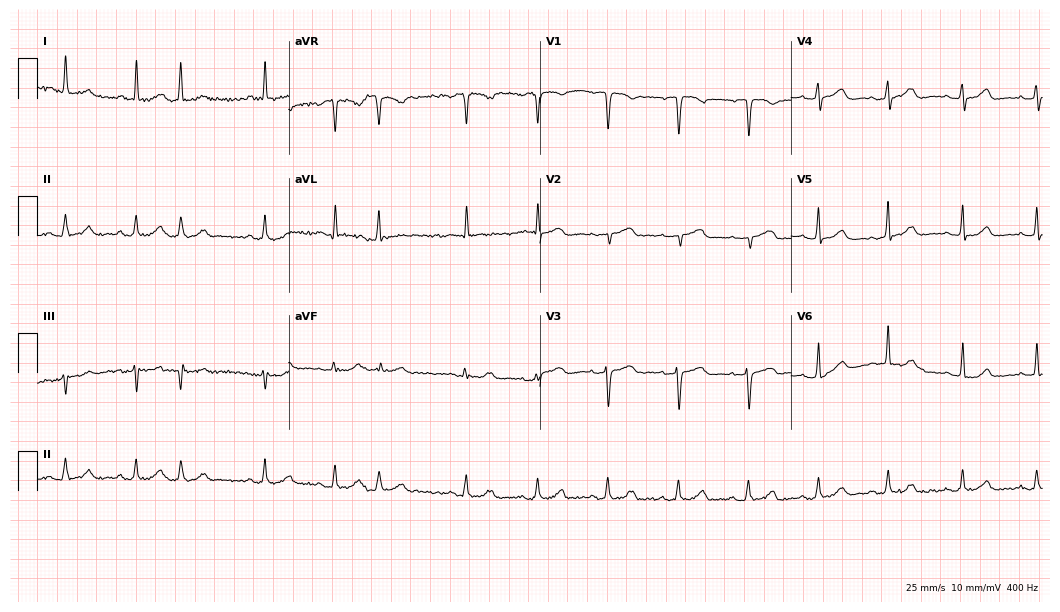
Resting 12-lead electrocardiogram. Patient: a woman, 67 years old. None of these six findings is recorded: first-degree AV block, right bundle branch block, left bundle branch block, sinus bradycardia, atrial fibrillation, sinus tachycardia. Only these six findings were labelled.